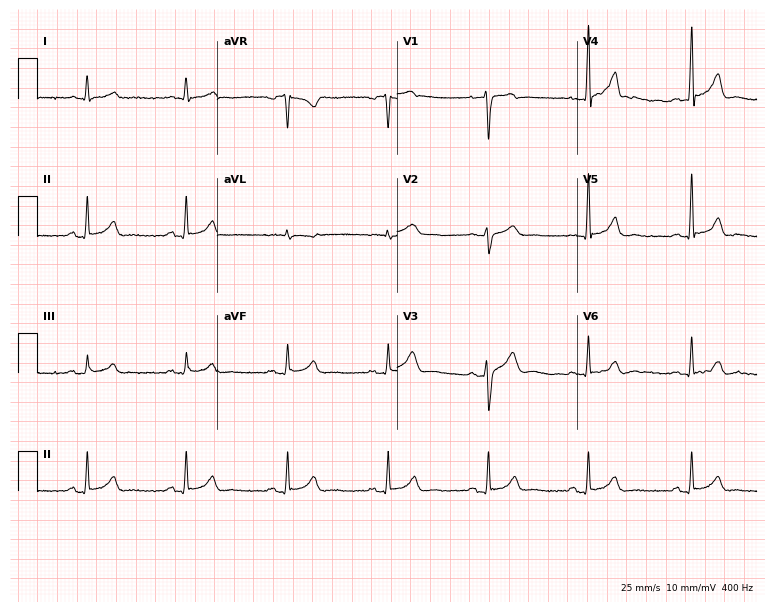
12-lead ECG from a man, 52 years old (7.3-second recording at 400 Hz). Recorded interpretation: within normal limits.